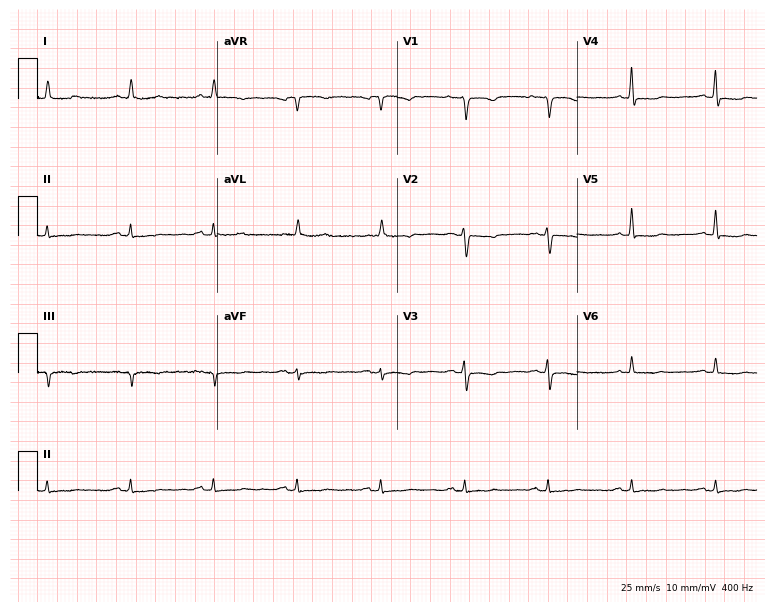
Resting 12-lead electrocardiogram (7.3-second recording at 400 Hz). Patient: a 71-year-old female. None of these six findings is recorded: first-degree AV block, right bundle branch block, left bundle branch block, sinus bradycardia, atrial fibrillation, sinus tachycardia. Findings outside these six are not listed.